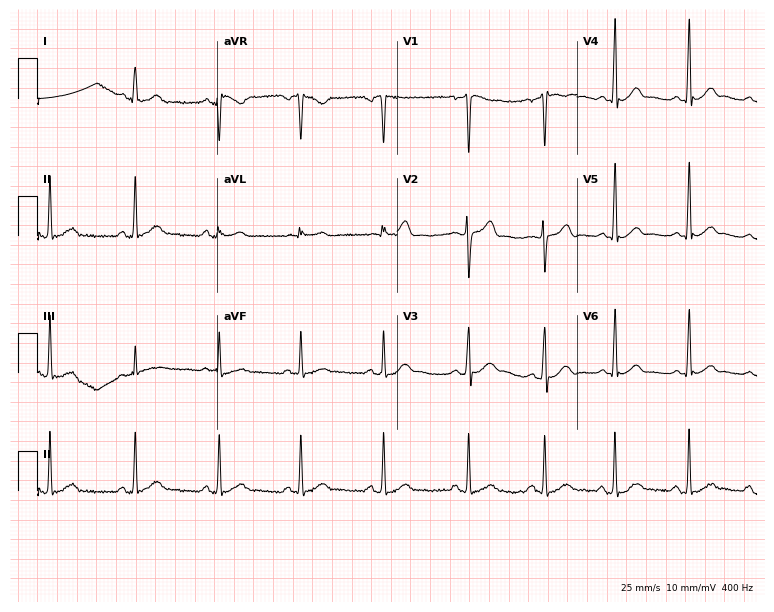
Standard 12-lead ECG recorded from a 20-year-old male patient (7.3-second recording at 400 Hz). Read as a normal ECG.